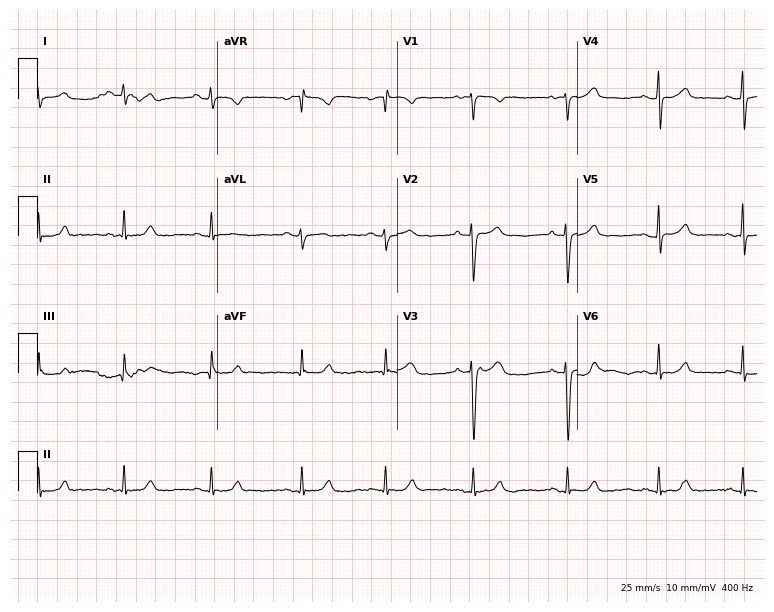
Electrocardiogram, a female patient, 28 years old. Overall reading on record: normal ECG.